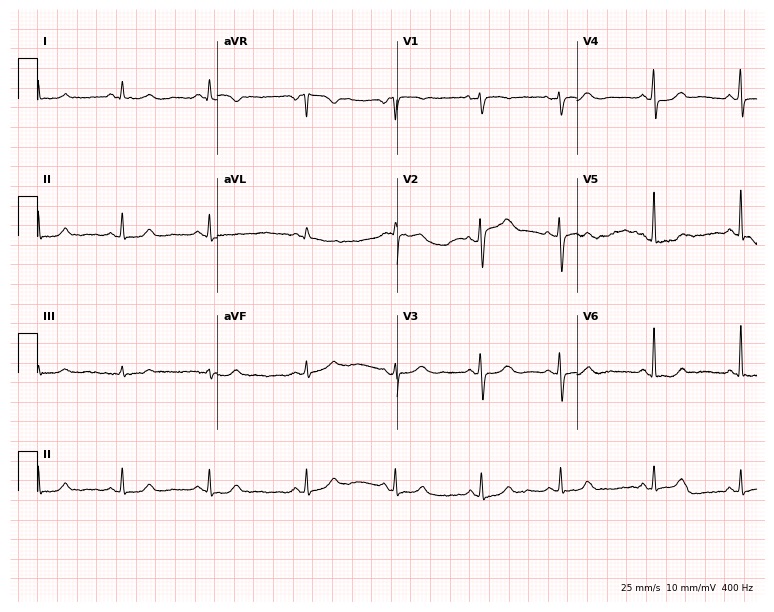
Standard 12-lead ECG recorded from a female, 48 years old. Read as a normal ECG.